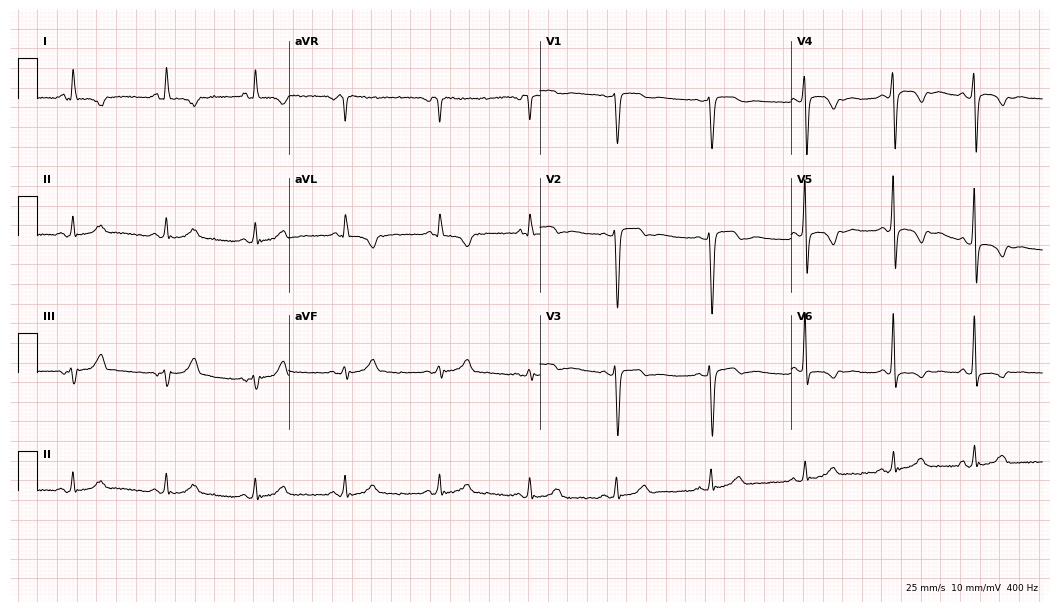
12-lead ECG from a woman, 59 years old. No first-degree AV block, right bundle branch block, left bundle branch block, sinus bradycardia, atrial fibrillation or sinus tachycardia recorded for this tracing.